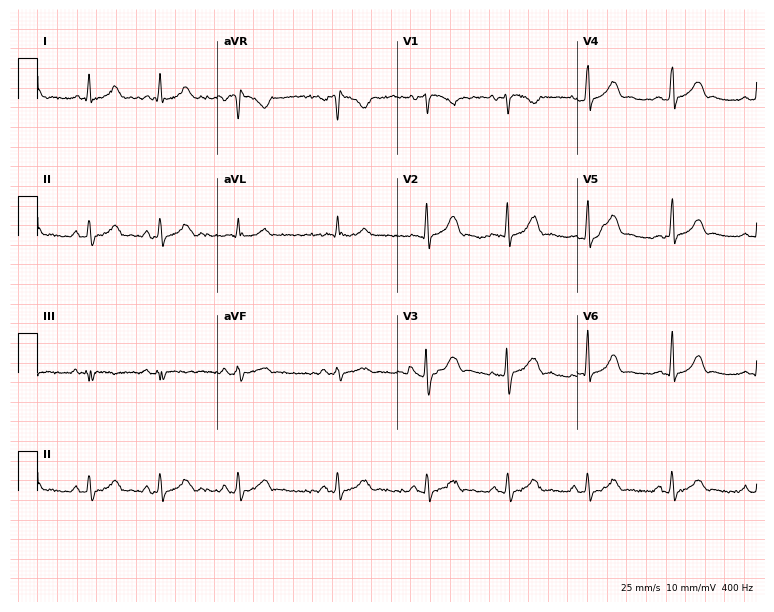
Standard 12-lead ECG recorded from a 29-year-old female. None of these six findings is recorded: first-degree AV block, right bundle branch block, left bundle branch block, sinus bradycardia, atrial fibrillation, sinus tachycardia.